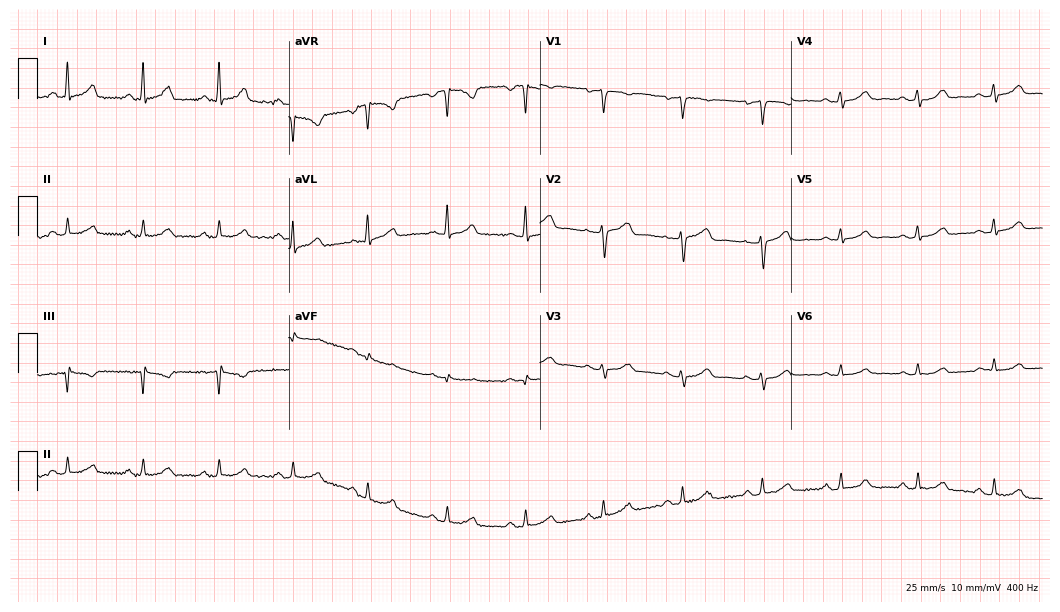
12-lead ECG from a 37-year-old female patient (10.2-second recording at 400 Hz). Recorded interpretation: within normal limits.